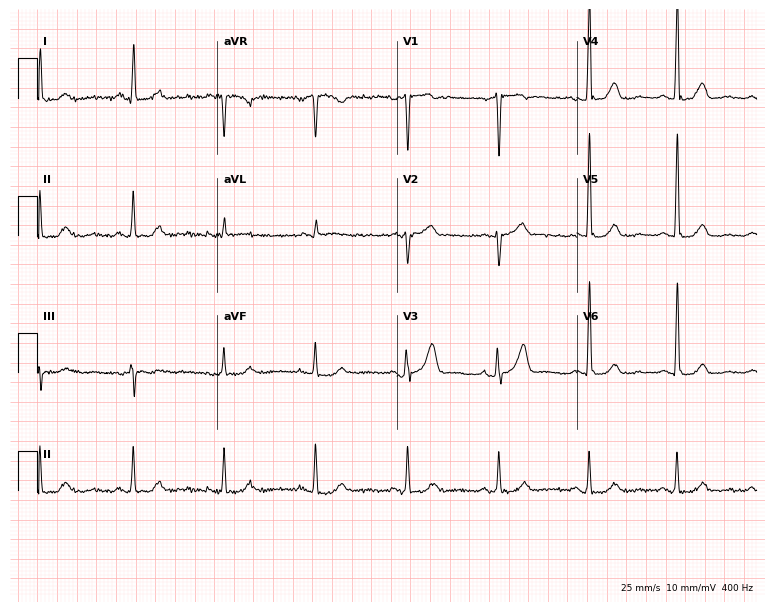
Standard 12-lead ECG recorded from a man, 43 years old. Read as a normal ECG.